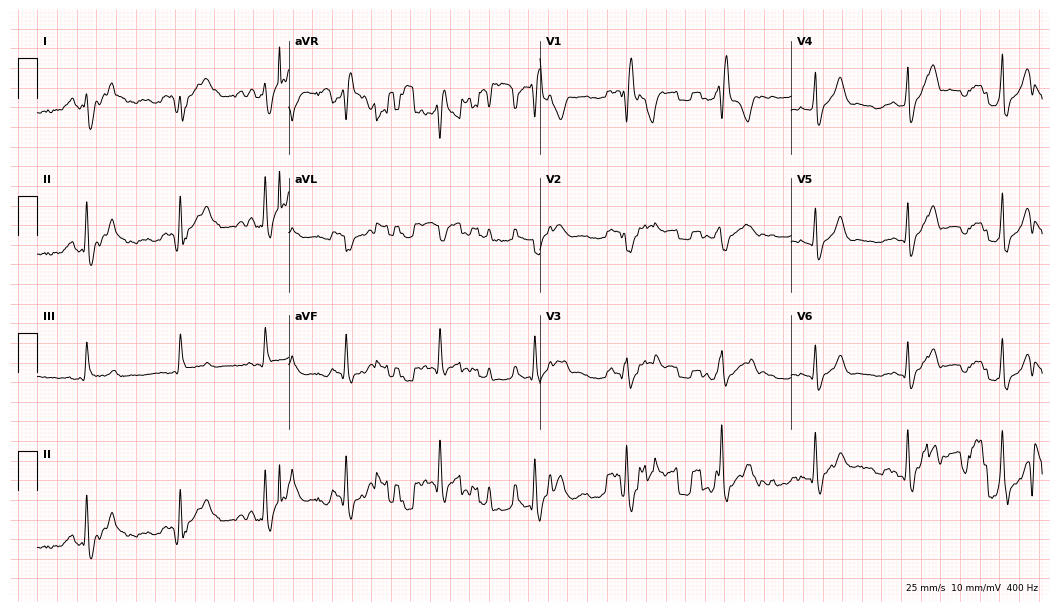
Electrocardiogram, a 24-year-old male patient. Of the six screened findings (first-degree AV block, right bundle branch block, left bundle branch block, sinus bradycardia, atrial fibrillation, sinus tachycardia), none is recorded.